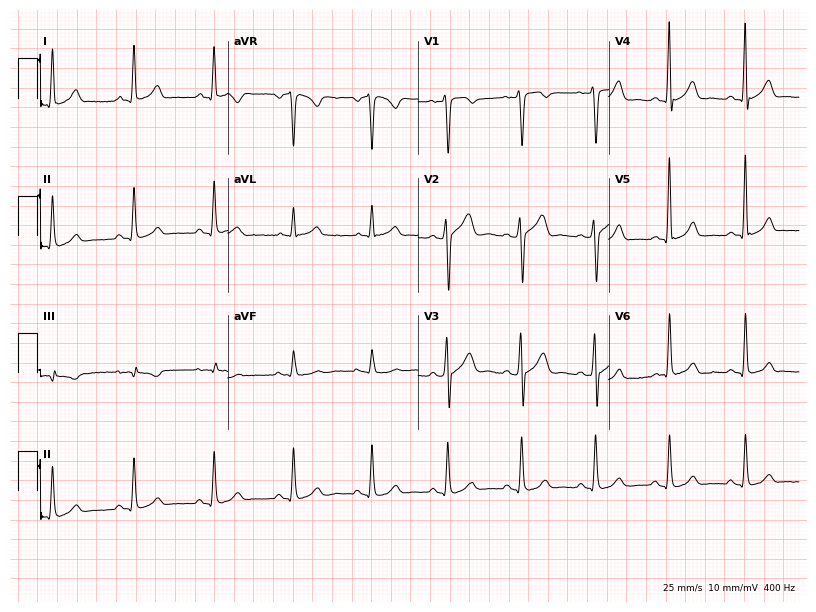
Resting 12-lead electrocardiogram. Patient: a 39-year-old male. None of these six findings is recorded: first-degree AV block, right bundle branch block, left bundle branch block, sinus bradycardia, atrial fibrillation, sinus tachycardia. Findings outside these six are not listed.